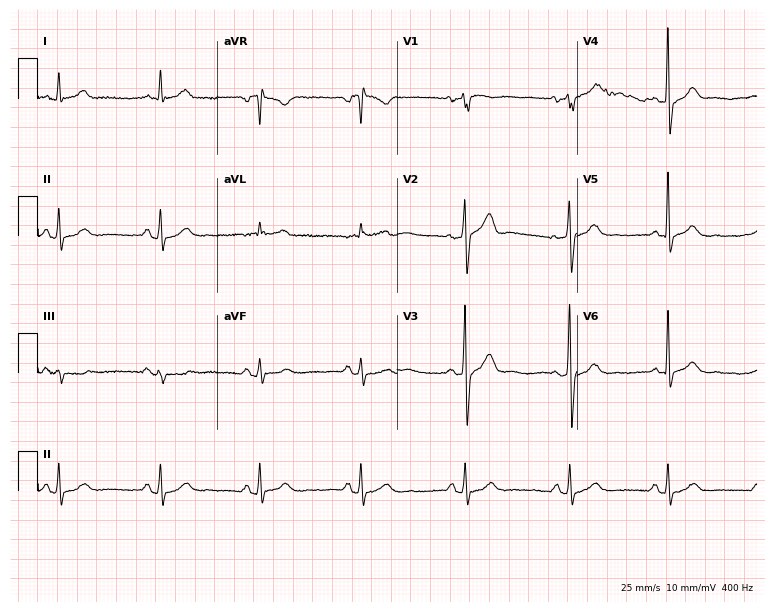
12-lead ECG from a man, 56 years old. Screened for six findings — first-degree AV block, right bundle branch block (RBBB), left bundle branch block (LBBB), sinus bradycardia, atrial fibrillation (AF), sinus tachycardia — none is recorded. Other findings, if any, are not listed.